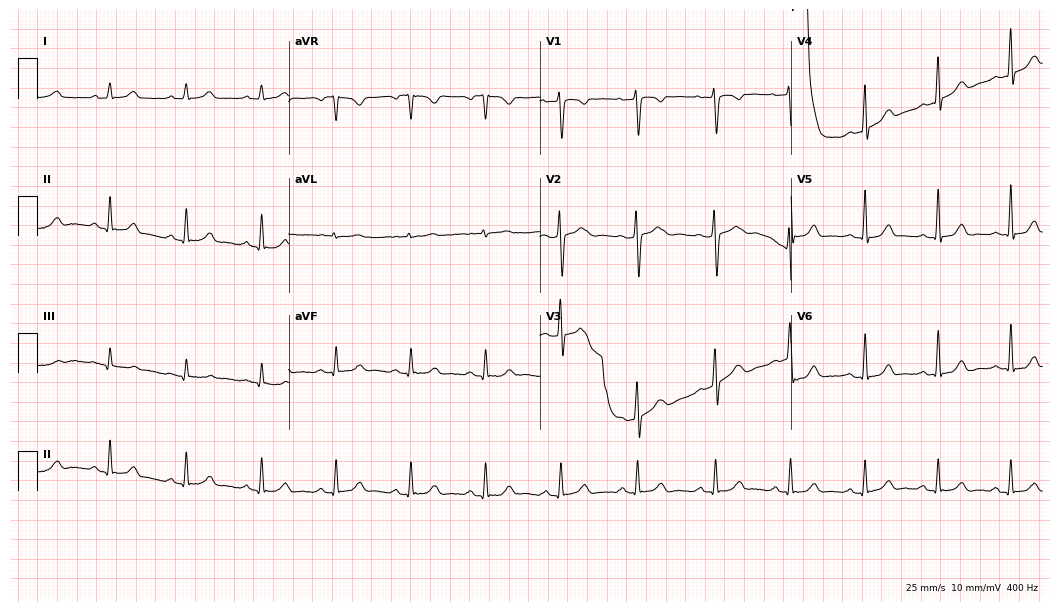
12-lead ECG from a 36-year-old woman (10.2-second recording at 400 Hz). Recorded interpretation: within normal limits.